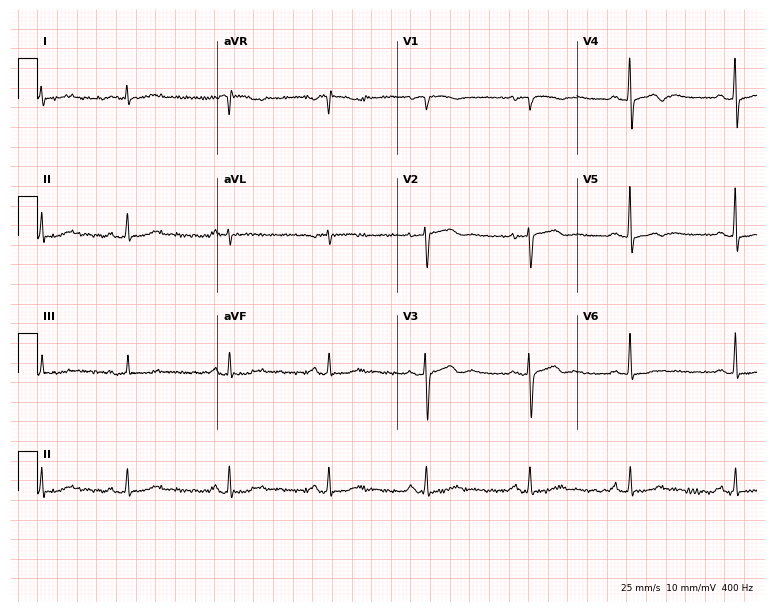
ECG (7.3-second recording at 400 Hz) — a woman, 73 years old. Labelled as a normal ECG.